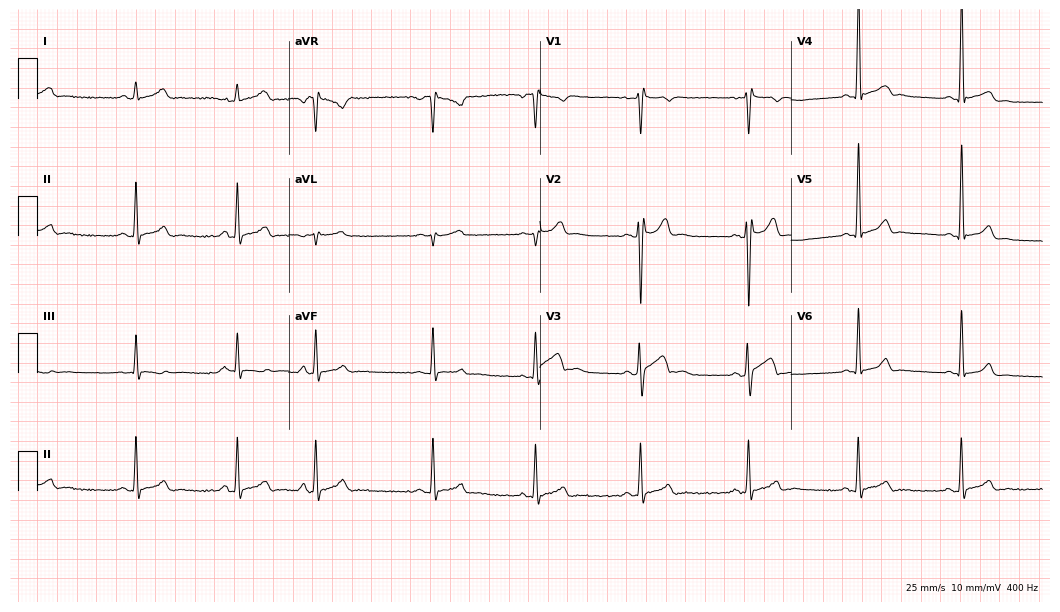
ECG — a 20-year-old male. Screened for six findings — first-degree AV block, right bundle branch block (RBBB), left bundle branch block (LBBB), sinus bradycardia, atrial fibrillation (AF), sinus tachycardia — none is recorded.